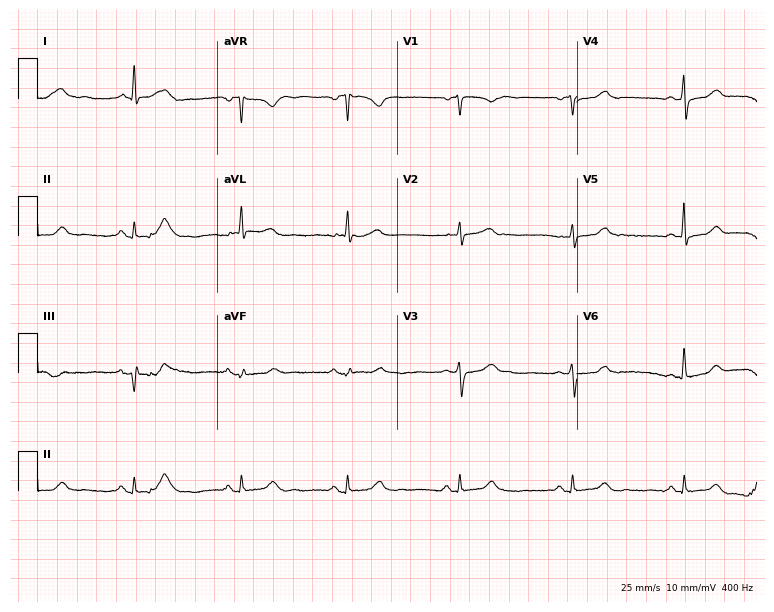
12-lead ECG (7.3-second recording at 400 Hz) from a male patient, 63 years old. Labelled as a normal ECG.